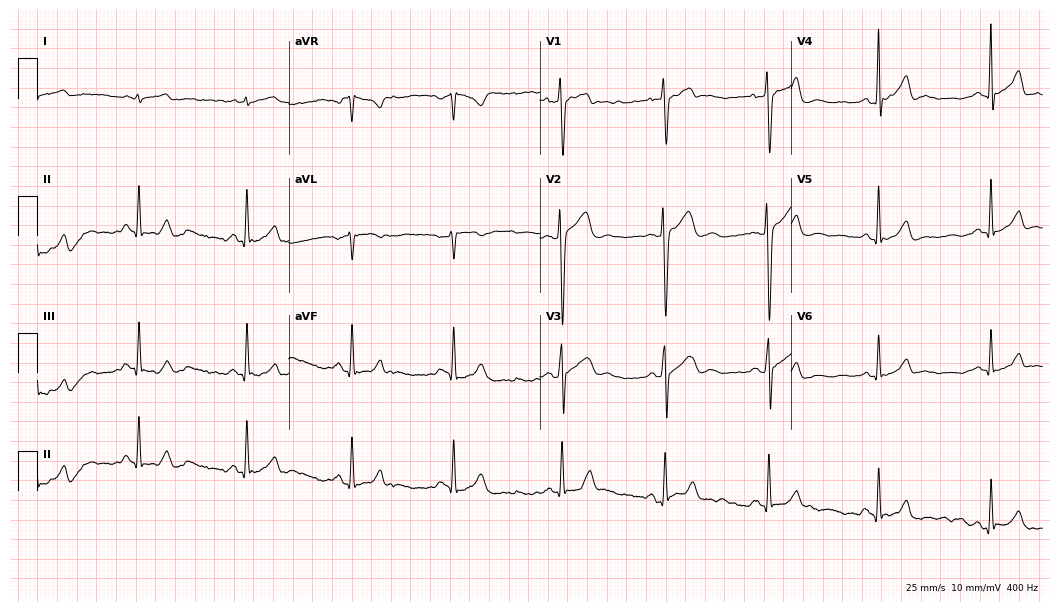
12-lead ECG from a male patient, 33 years old. Screened for six findings — first-degree AV block, right bundle branch block, left bundle branch block, sinus bradycardia, atrial fibrillation, sinus tachycardia — none is recorded.